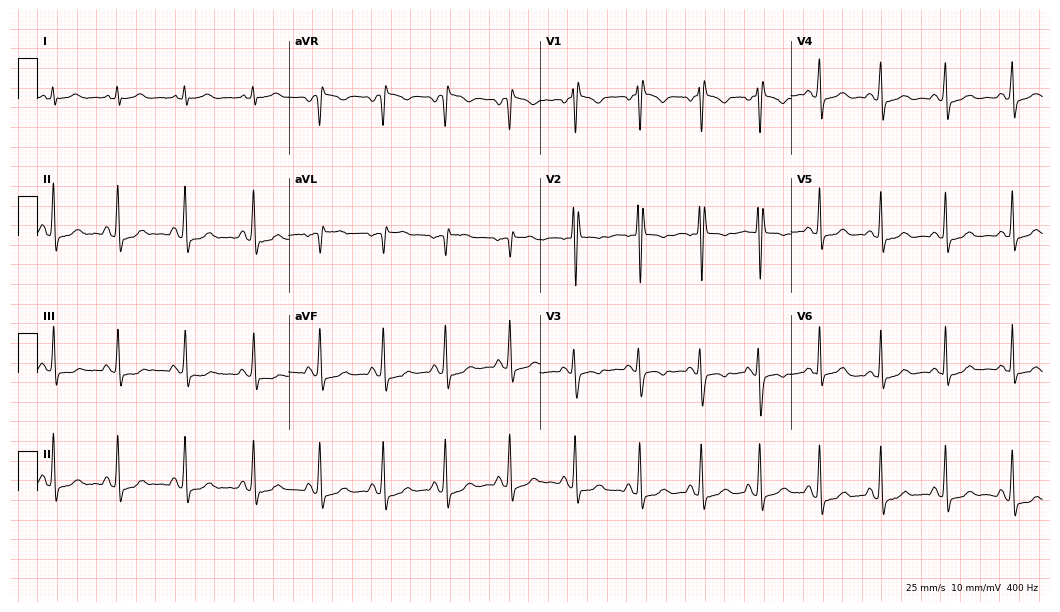
ECG — a woman, 21 years old. Screened for six findings — first-degree AV block, right bundle branch block, left bundle branch block, sinus bradycardia, atrial fibrillation, sinus tachycardia — none is recorded. Findings outside these six are not listed.